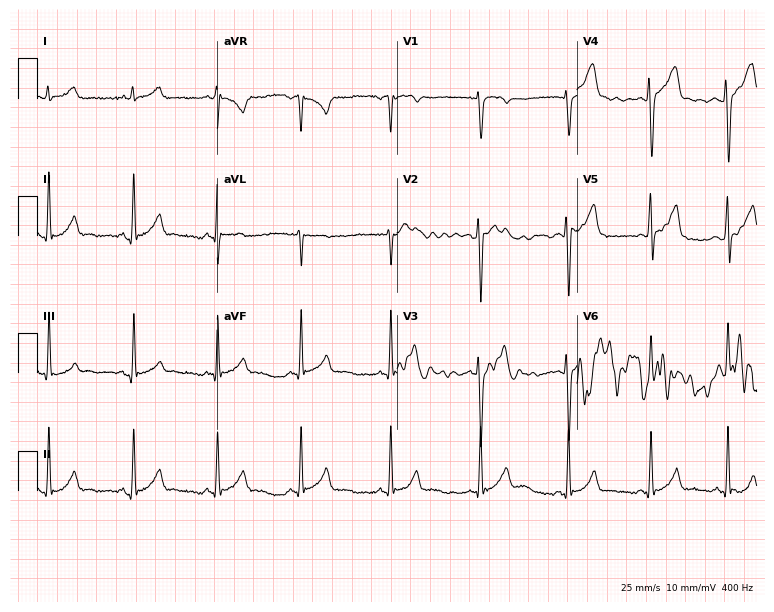
12-lead ECG from a male patient, 25 years old. Labelled as a normal ECG.